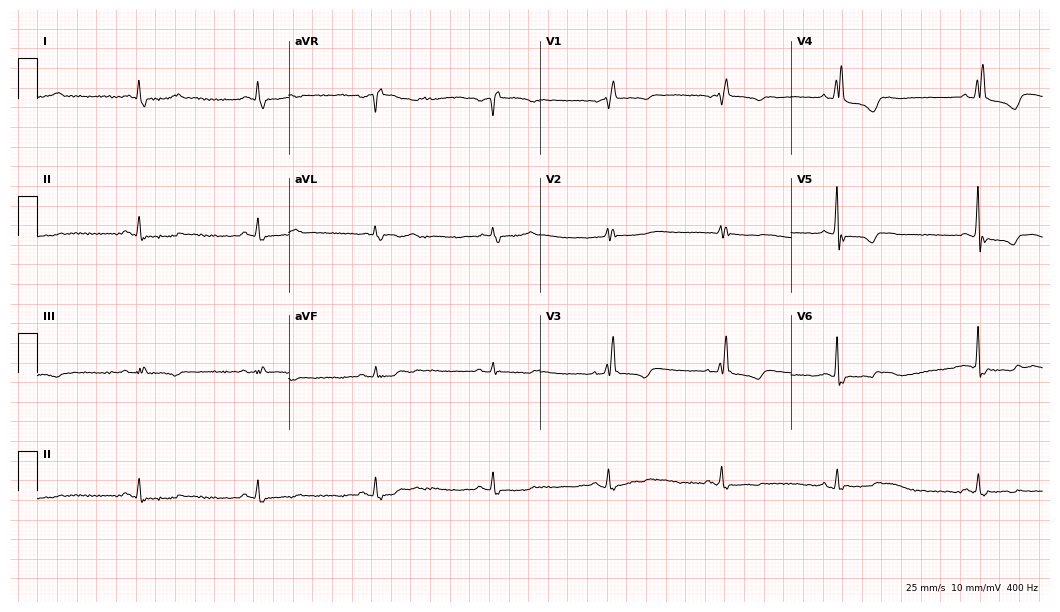
12-lead ECG from a 65-year-old woman (10.2-second recording at 400 Hz). Shows right bundle branch block (RBBB).